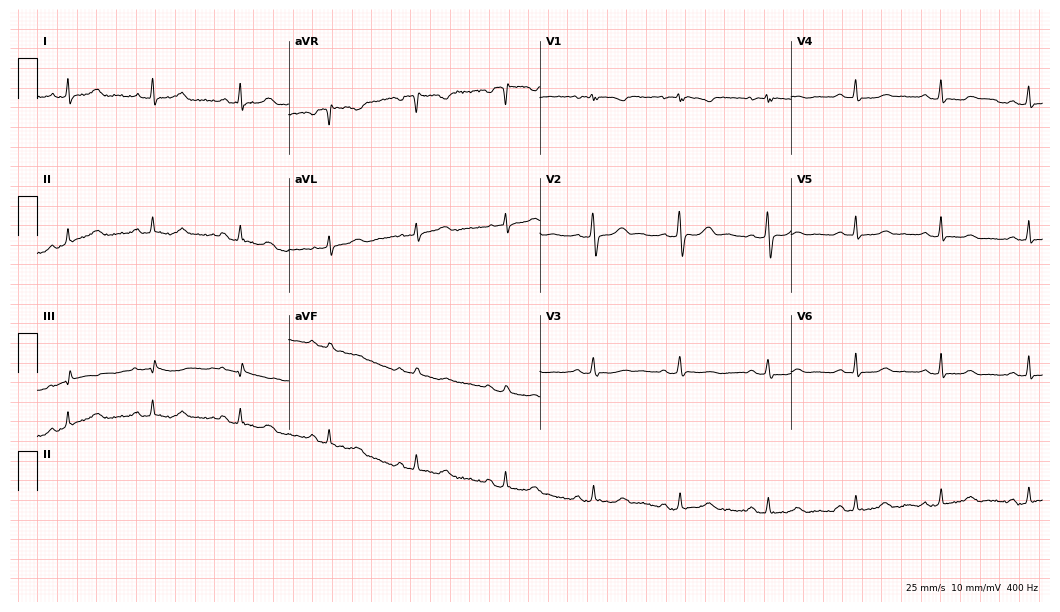
Electrocardiogram (10.2-second recording at 400 Hz), a female, 36 years old. Overall reading on record: normal ECG.